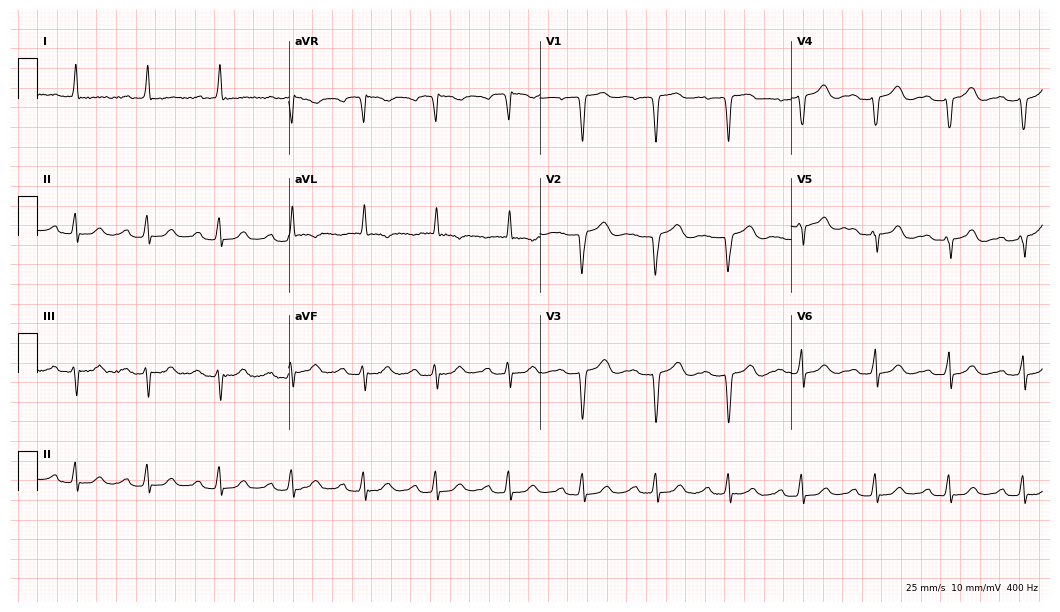
12-lead ECG (10.2-second recording at 400 Hz) from a 78-year-old woman. Findings include first-degree AV block.